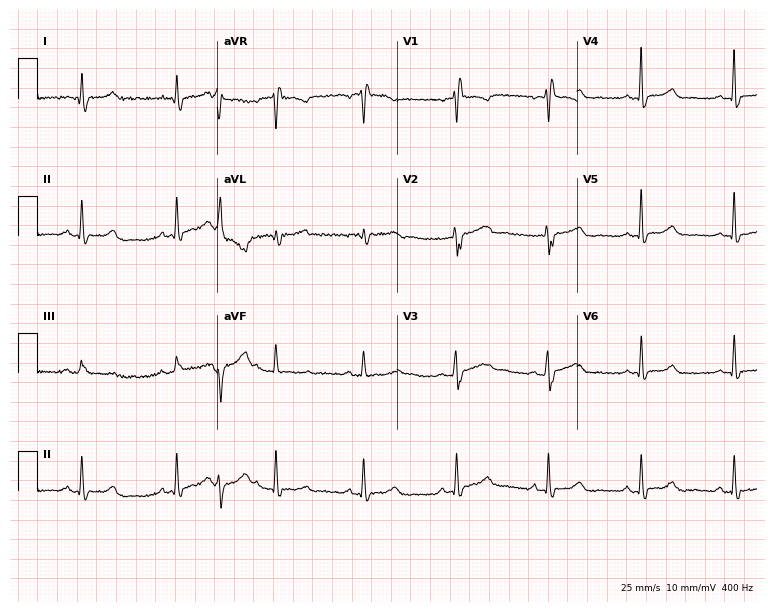
12-lead ECG from a female patient, 49 years old. No first-degree AV block, right bundle branch block, left bundle branch block, sinus bradycardia, atrial fibrillation or sinus tachycardia recorded for this tracing. Other findings, if any, are not listed.